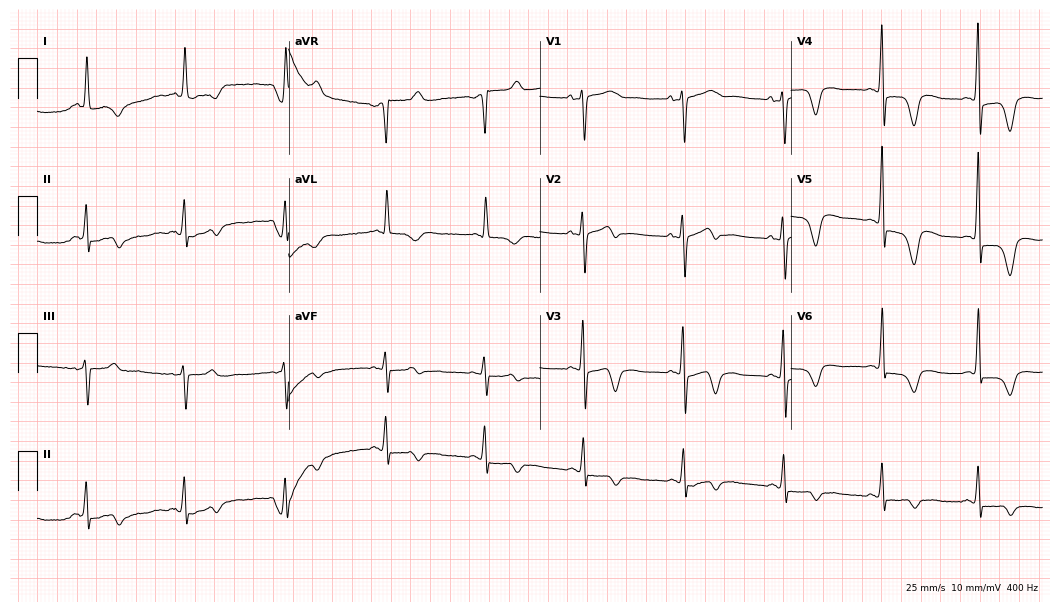
Standard 12-lead ECG recorded from a 73-year-old woman (10.2-second recording at 400 Hz). None of these six findings is recorded: first-degree AV block, right bundle branch block, left bundle branch block, sinus bradycardia, atrial fibrillation, sinus tachycardia. Other findings, if any, are not listed.